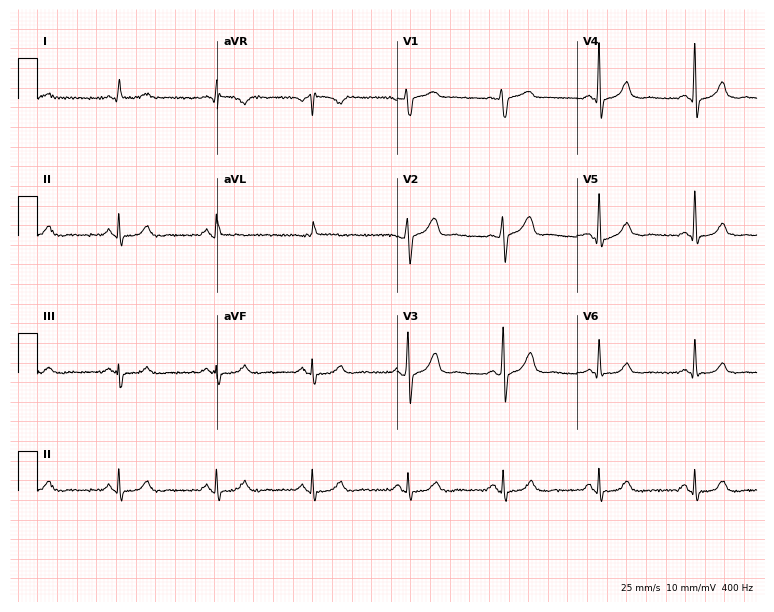
ECG — a male, 57 years old. Screened for six findings — first-degree AV block, right bundle branch block, left bundle branch block, sinus bradycardia, atrial fibrillation, sinus tachycardia — none is recorded.